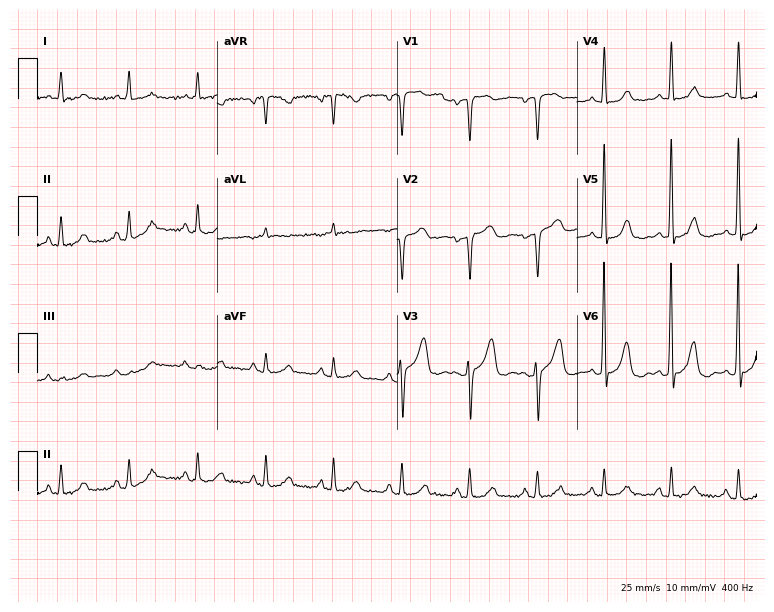
Standard 12-lead ECG recorded from a 74-year-old female patient. None of these six findings is recorded: first-degree AV block, right bundle branch block, left bundle branch block, sinus bradycardia, atrial fibrillation, sinus tachycardia. Only these six findings were labelled.